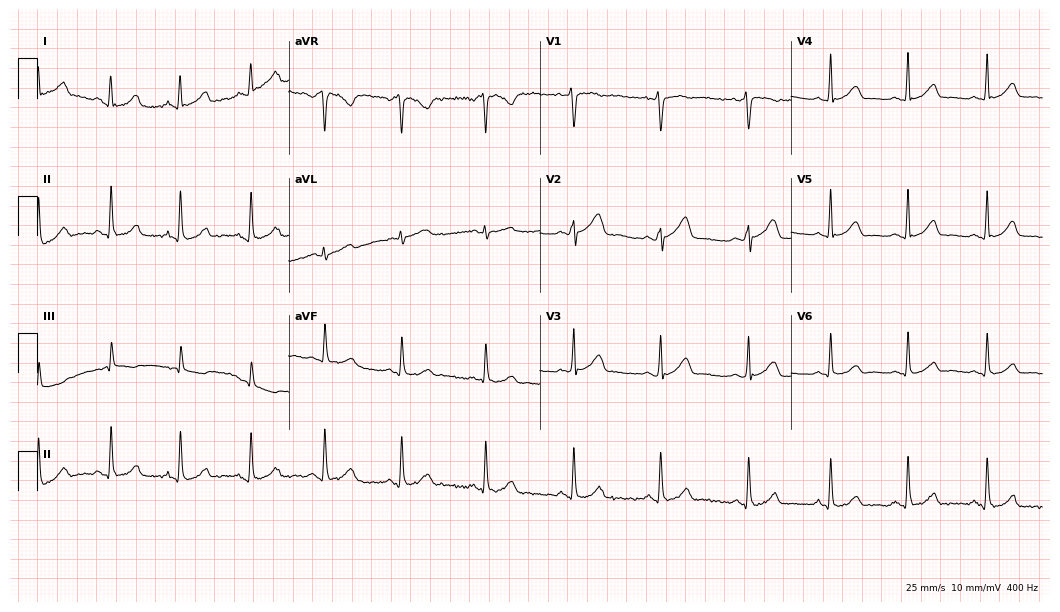
12-lead ECG from a female, 28 years old. Labelled as a normal ECG.